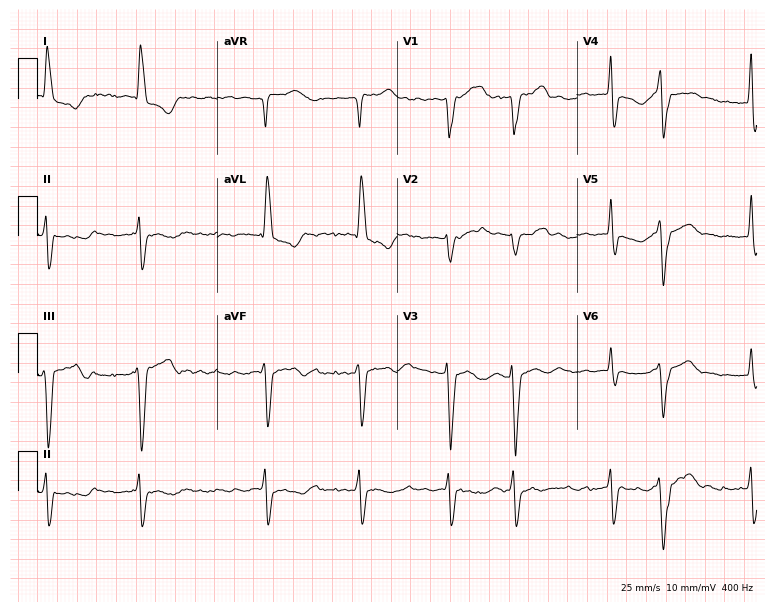
12-lead ECG from an 82-year-old female patient (7.3-second recording at 400 Hz). Shows atrial fibrillation.